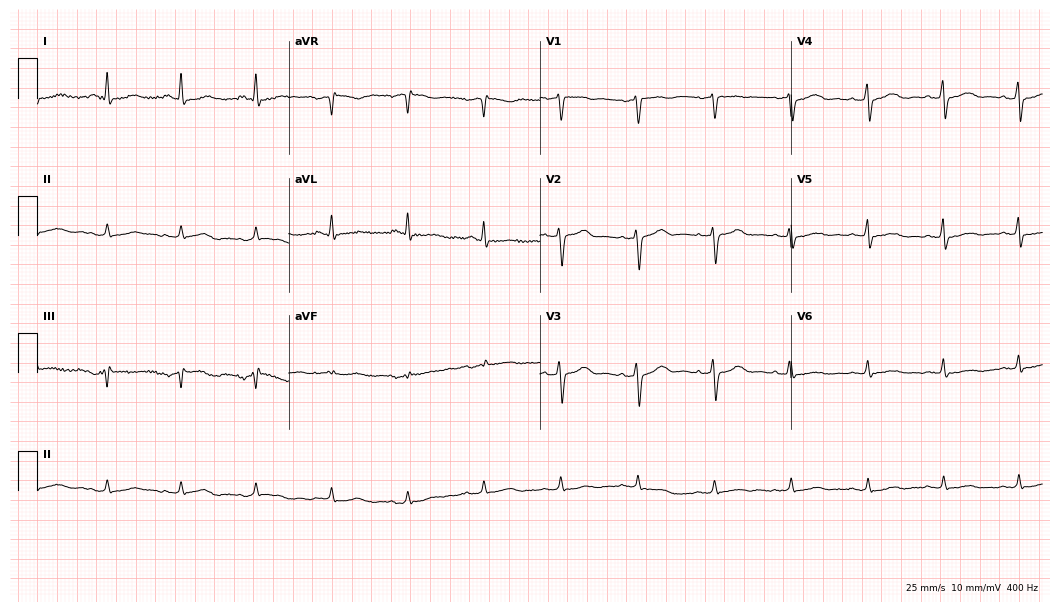
ECG — a 52-year-old man. Screened for six findings — first-degree AV block, right bundle branch block, left bundle branch block, sinus bradycardia, atrial fibrillation, sinus tachycardia — none is recorded. Findings outside these six are not listed.